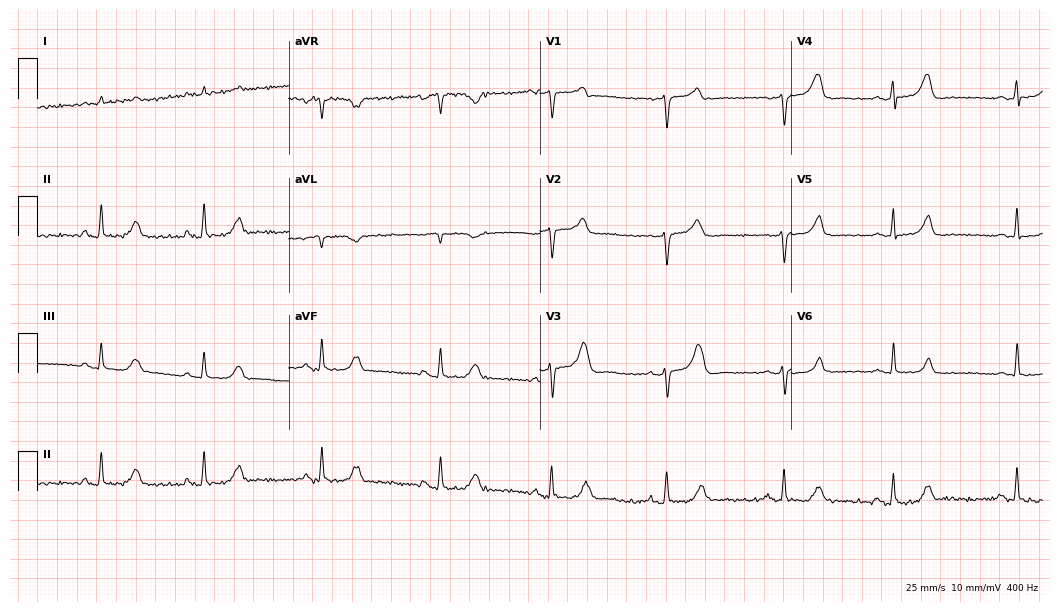
ECG — a male, 71 years old. Screened for six findings — first-degree AV block, right bundle branch block, left bundle branch block, sinus bradycardia, atrial fibrillation, sinus tachycardia — none is recorded.